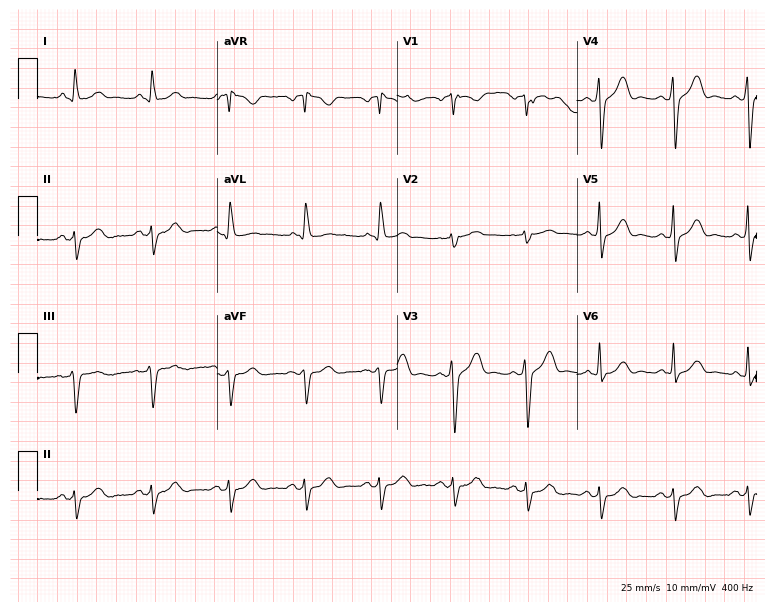
Standard 12-lead ECG recorded from a 71-year-old male patient. None of these six findings is recorded: first-degree AV block, right bundle branch block, left bundle branch block, sinus bradycardia, atrial fibrillation, sinus tachycardia. Other findings, if any, are not listed.